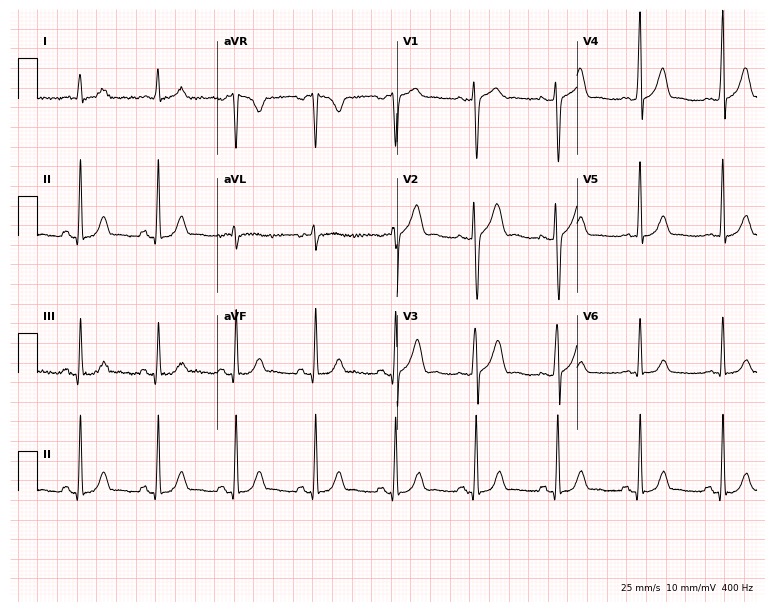
12-lead ECG from a male patient, 47 years old. Labelled as a normal ECG.